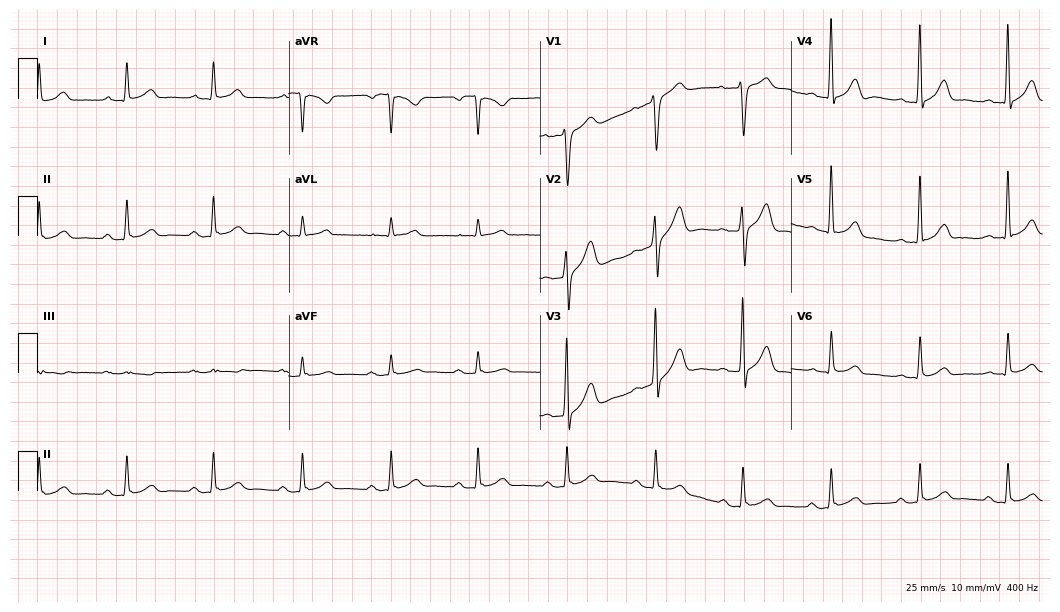
12-lead ECG from a 67-year-old male (10.2-second recording at 400 Hz). Recorded interpretation: within normal limits.